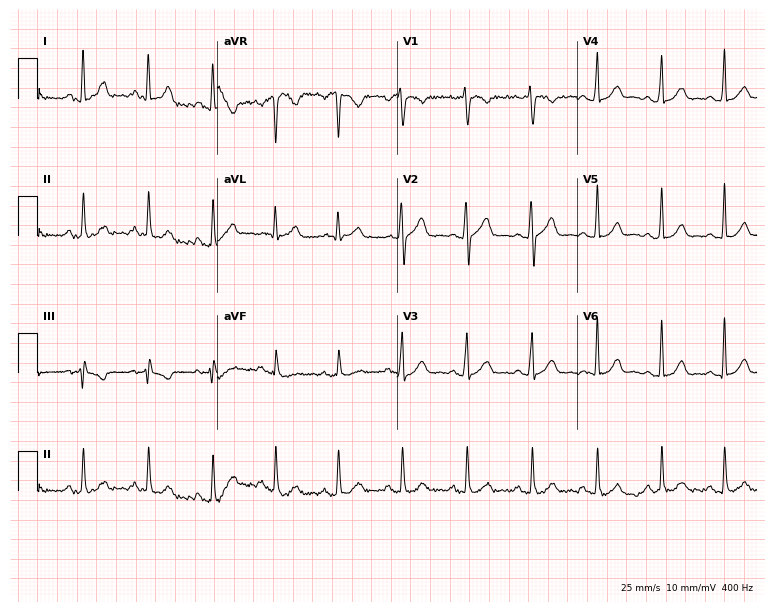
Resting 12-lead electrocardiogram (7.3-second recording at 400 Hz). Patient: a 21-year-old female. Read as a normal ECG.